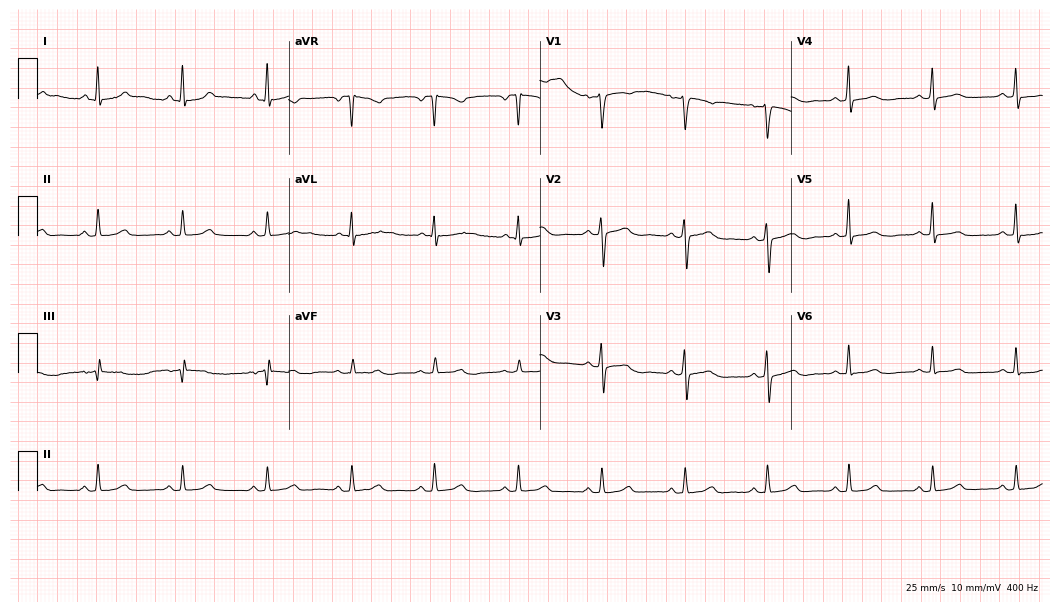
Standard 12-lead ECG recorded from a female patient, 49 years old. Read as a normal ECG.